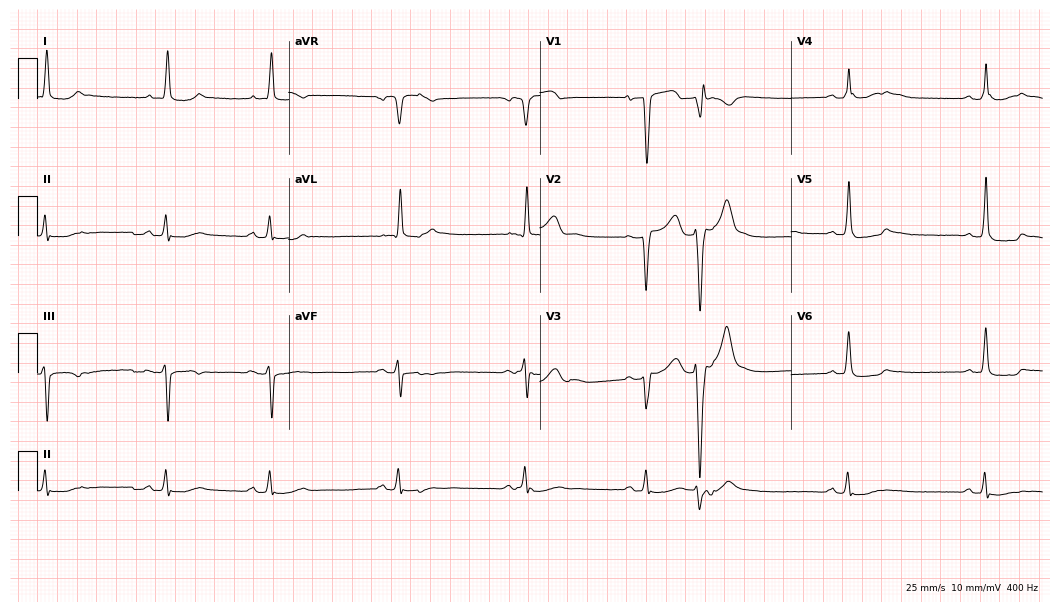
12-lead ECG from a 67-year-old female (10.2-second recording at 400 Hz). No first-degree AV block, right bundle branch block, left bundle branch block, sinus bradycardia, atrial fibrillation or sinus tachycardia recorded for this tracing.